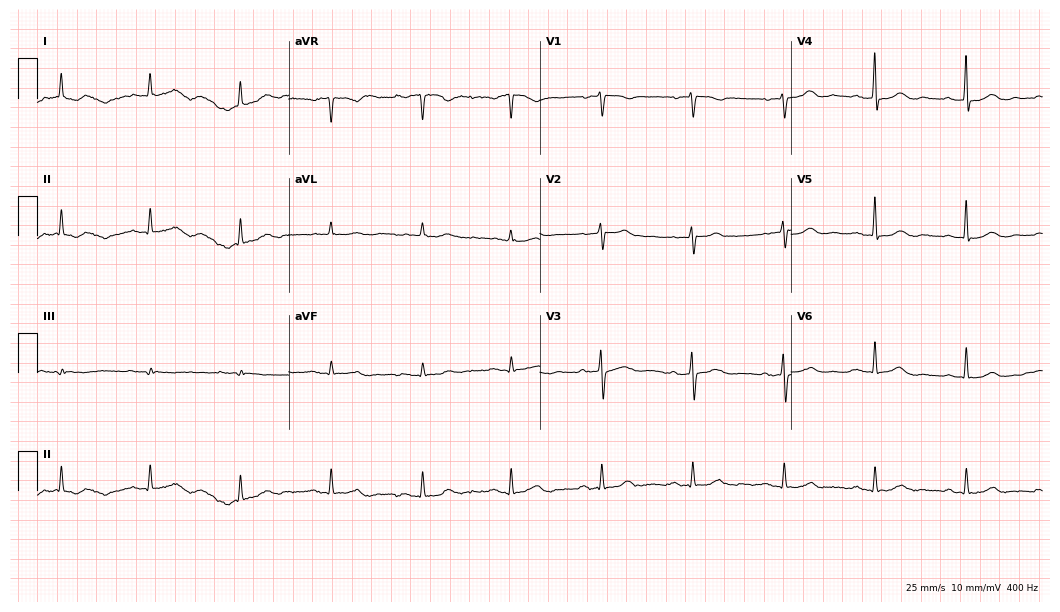
Electrocardiogram, a woman, 77 years old. Overall reading on record: normal ECG.